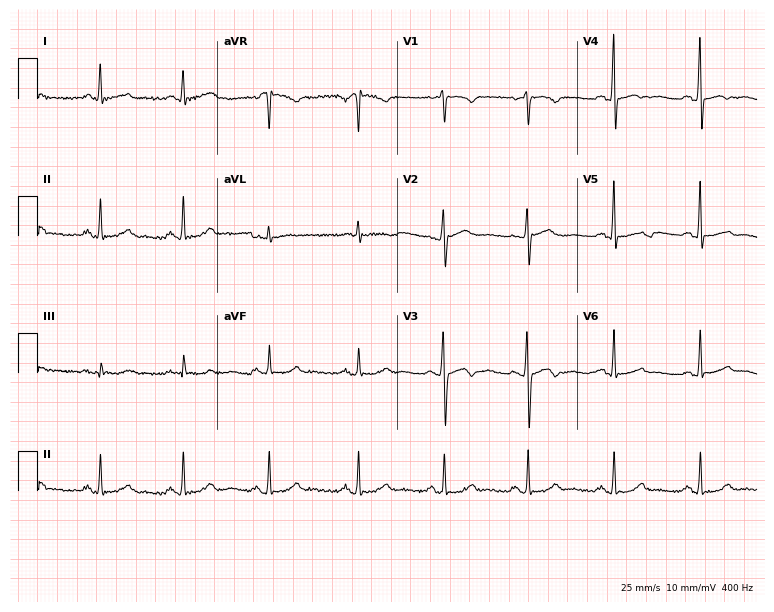
ECG (7.3-second recording at 400 Hz) — a 42-year-old female patient. Screened for six findings — first-degree AV block, right bundle branch block, left bundle branch block, sinus bradycardia, atrial fibrillation, sinus tachycardia — none is recorded.